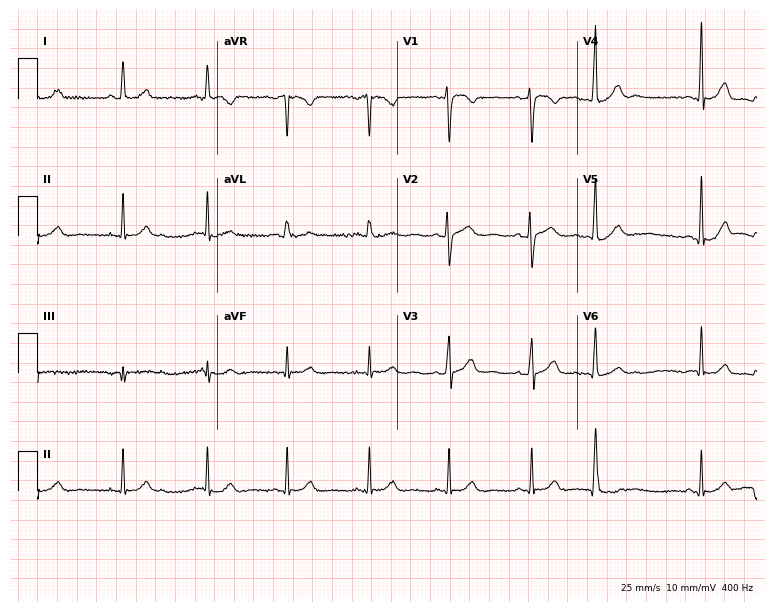
ECG — a female patient, 27 years old. Screened for six findings — first-degree AV block, right bundle branch block (RBBB), left bundle branch block (LBBB), sinus bradycardia, atrial fibrillation (AF), sinus tachycardia — none is recorded.